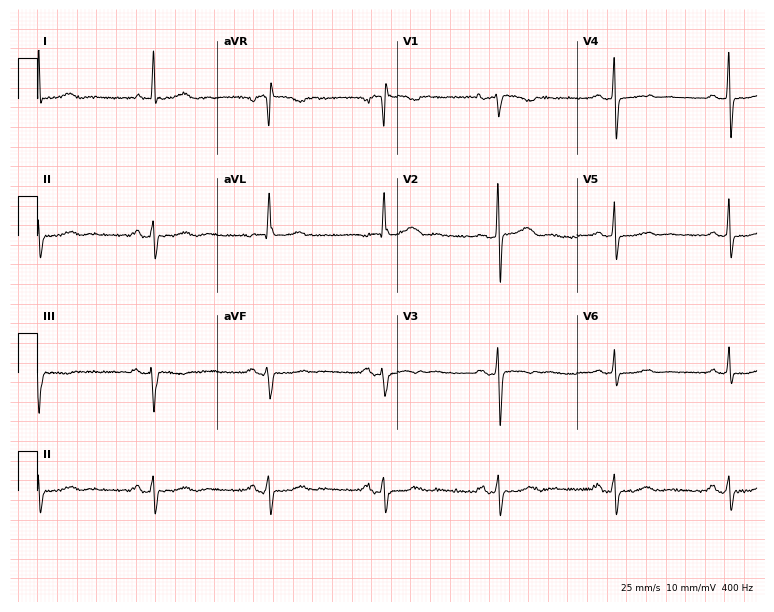
Resting 12-lead electrocardiogram. Patient: a 69-year-old female. None of these six findings is recorded: first-degree AV block, right bundle branch block, left bundle branch block, sinus bradycardia, atrial fibrillation, sinus tachycardia. Only these six findings were labelled.